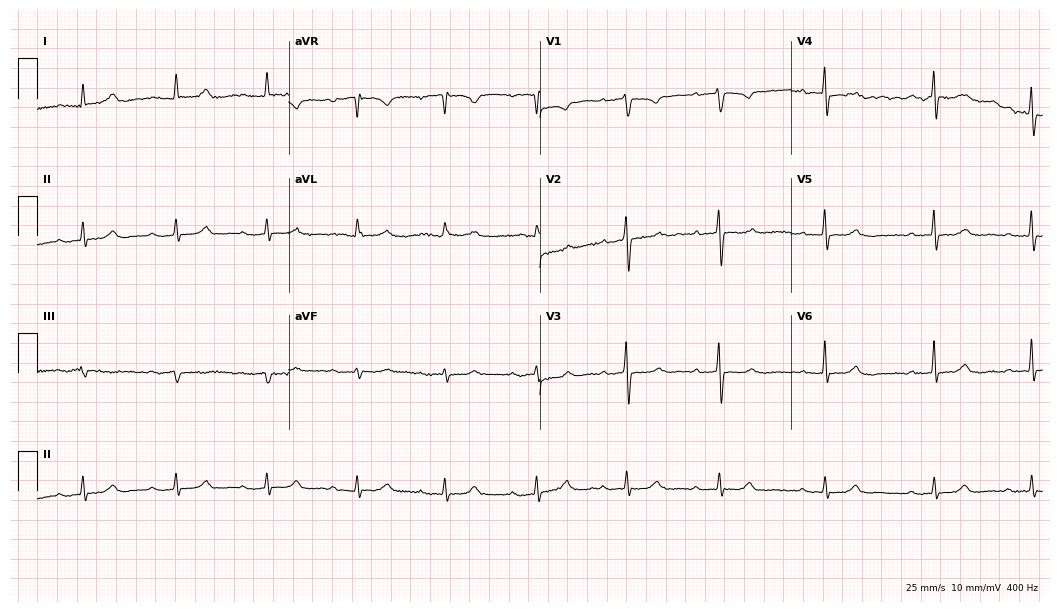
Standard 12-lead ECG recorded from a woman, 63 years old. None of these six findings is recorded: first-degree AV block, right bundle branch block, left bundle branch block, sinus bradycardia, atrial fibrillation, sinus tachycardia. Findings outside these six are not listed.